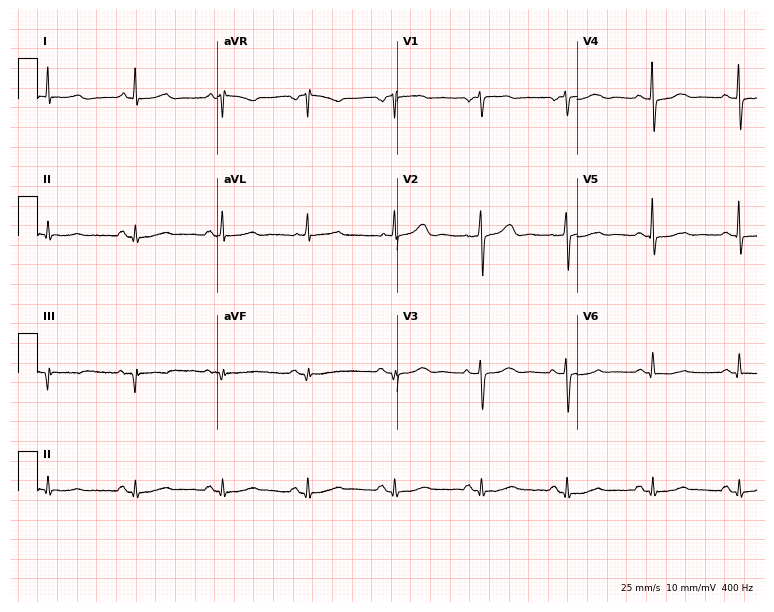
Resting 12-lead electrocardiogram (7.3-second recording at 400 Hz). Patient: an 83-year-old female. None of these six findings is recorded: first-degree AV block, right bundle branch block, left bundle branch block, sinus bradycardia, atrial fibrillation, sinus tachycardia. Only these six findings were labelled.